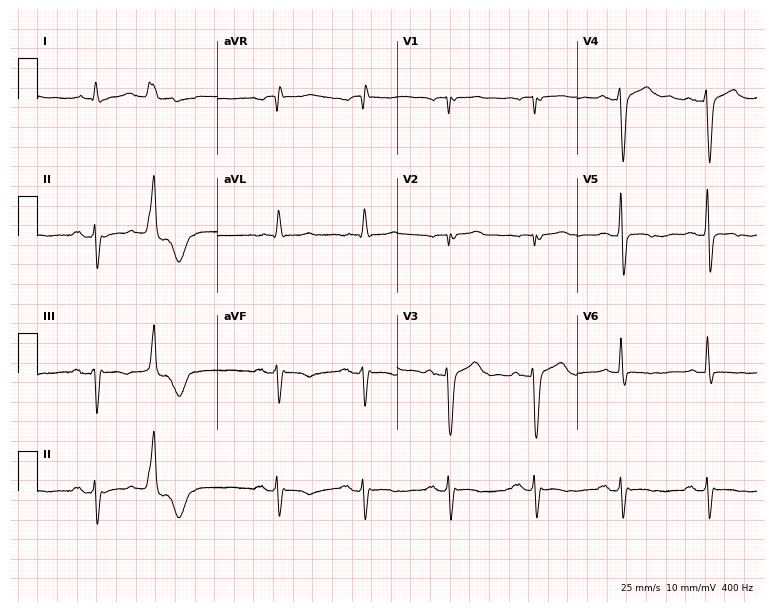
Resting 12-lead electrocardiogram (7.3-second recording at 400 Hz). Patient: a male, 74 years old. None of these six findings is recorded: first-degree AV block, right bundle branch block, left bundle branch block, sinus bradycardia, atrial fibrillation, sinus tachycardia.